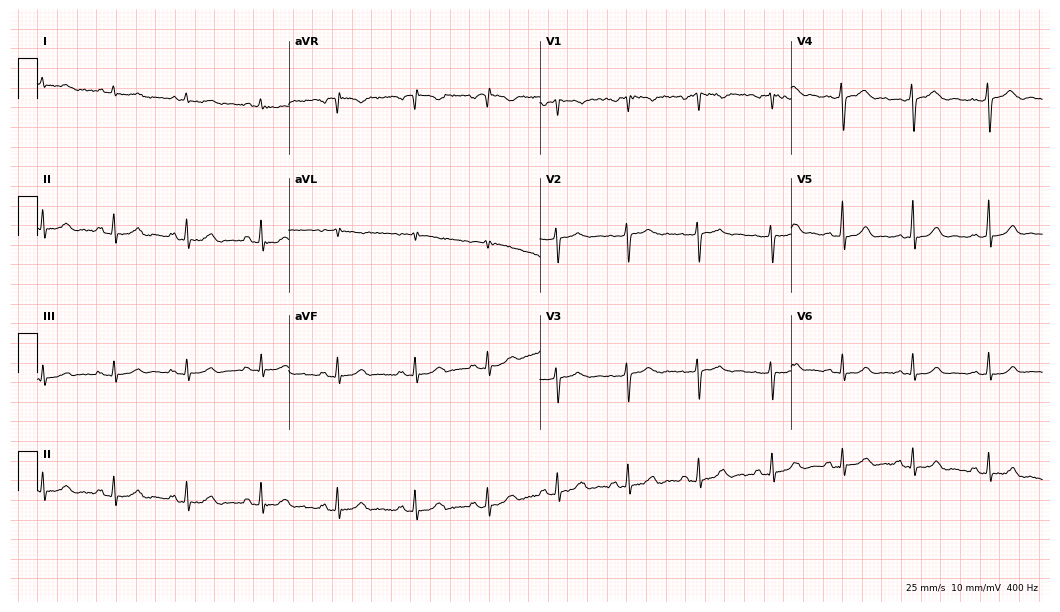
Electrocardiogram, a female, 24 years old. Overall reading on record: normal ECG.